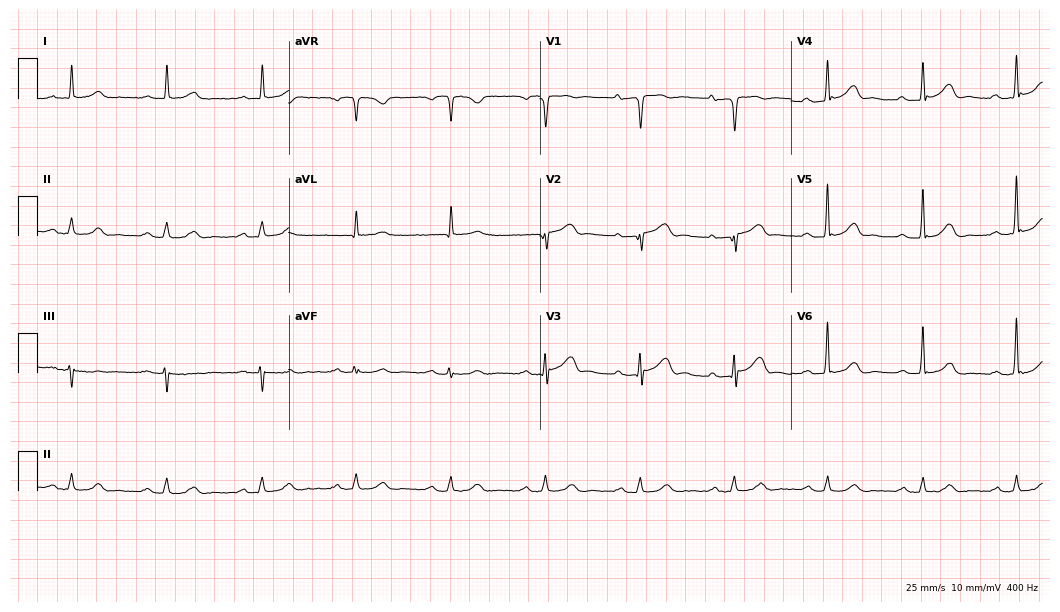
ECG (10.2-second recording at 400 Hz) — a 65-year-old male. Findings include first-degree AV block.